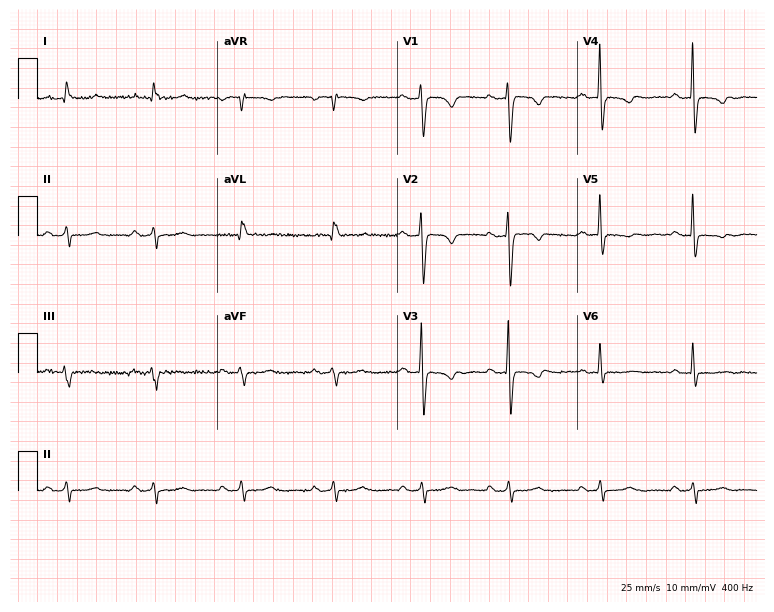
12-lead ECG (7.3-second recording at 400 Hz) from a 60-year-old woman. Screened for six findings — first-degree AV block, right bundle branch block (RBBB), left bundle branch block (LBBB), sinus bradycardia, atrial fibrillation (AF), sinus tachycardia — none is recorded.